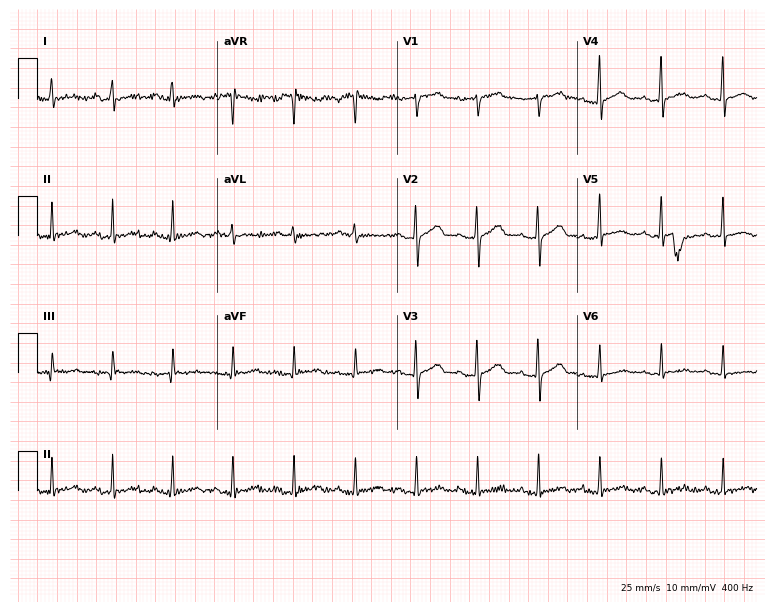
12-lead ECG from a female patient, 52 years old. No first-degree AV block, right bundle branch block, left bundle branch block, sinus bradycardia, atrial fibrillation or sinus tachycardia recorded for this tracing.